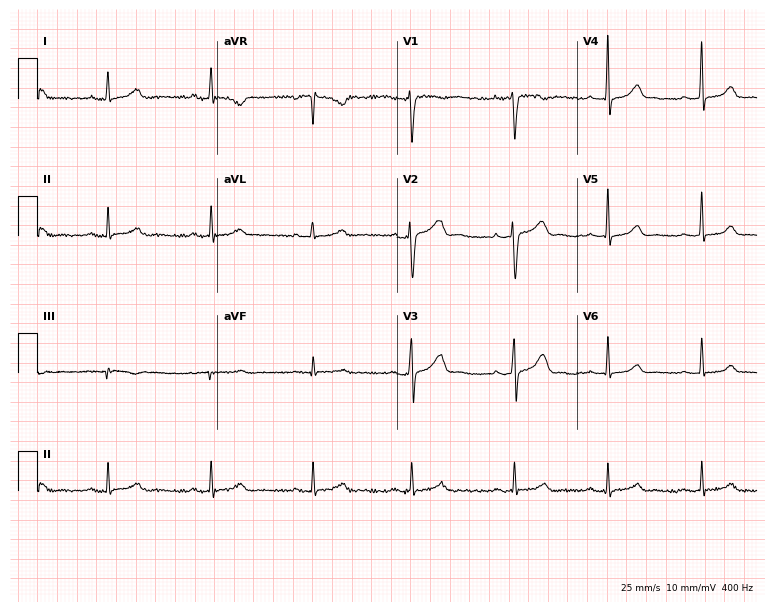
ECG — a 34-year-old female patient. Screened for six findings — first-degree AV block, right bundle branch block (RBBB), left bundle branch block (LBBB), sinus bradycardia, atrial fibrillation (AF), sinus tachycardia — none is recorded.